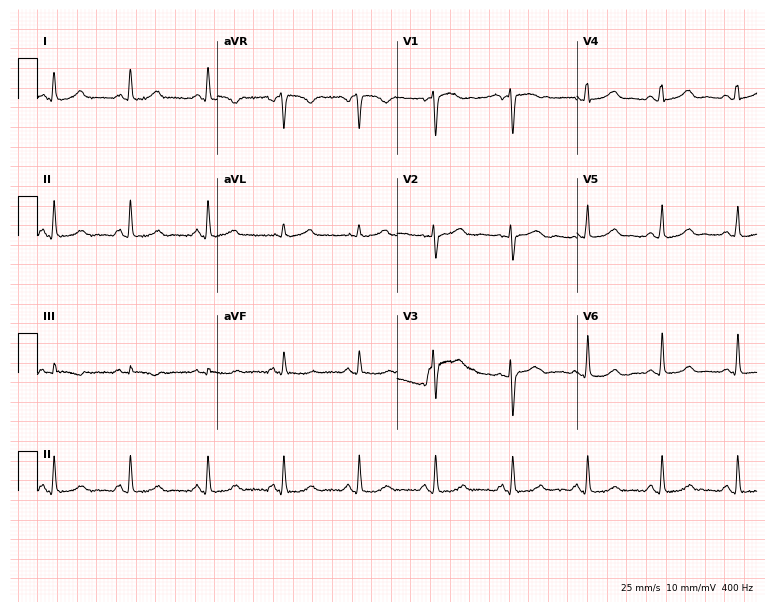
Electrocardiogram, a female patient, 49 years old. Overall reading on record: normal ECG.